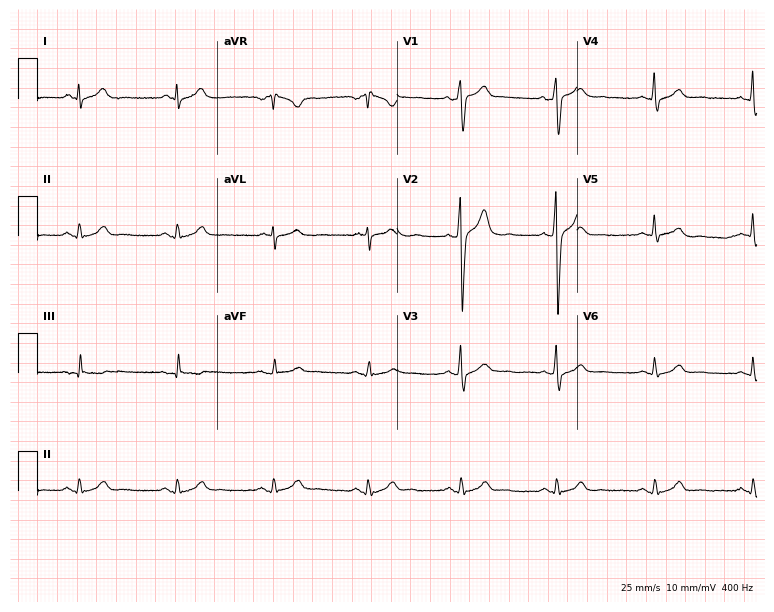
Electrocardiogram (7.3-second recording at 400 Hz), a 35-year-old man. Of the six screened findings (first-degree AV block, right bundle branch block, left bundle branch block, sinus bradycardia, atrial fibrillation, sinus tachycardia), none is recorded.